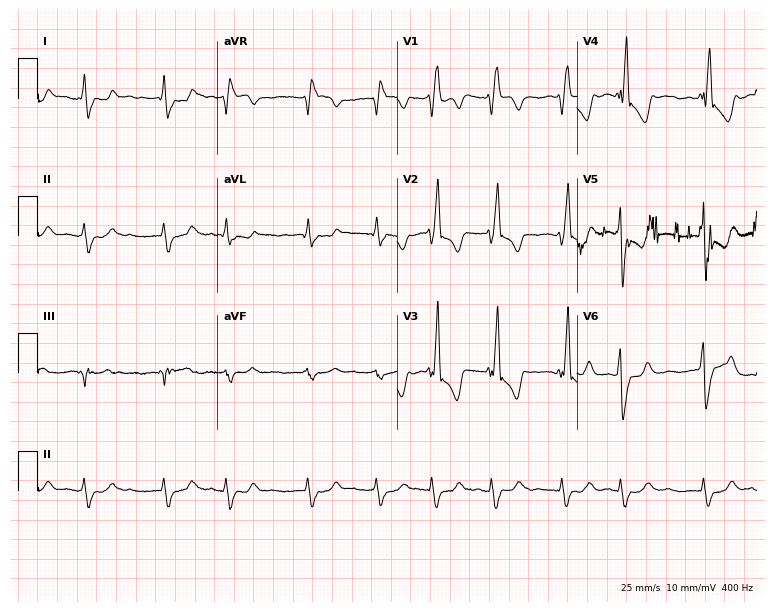
Standard 12-lead ECG recorded from an 84-year-old female patient (7.3-second recording at 400 Hz). The tracing shows right bundle branch block, atrial fibrillation.